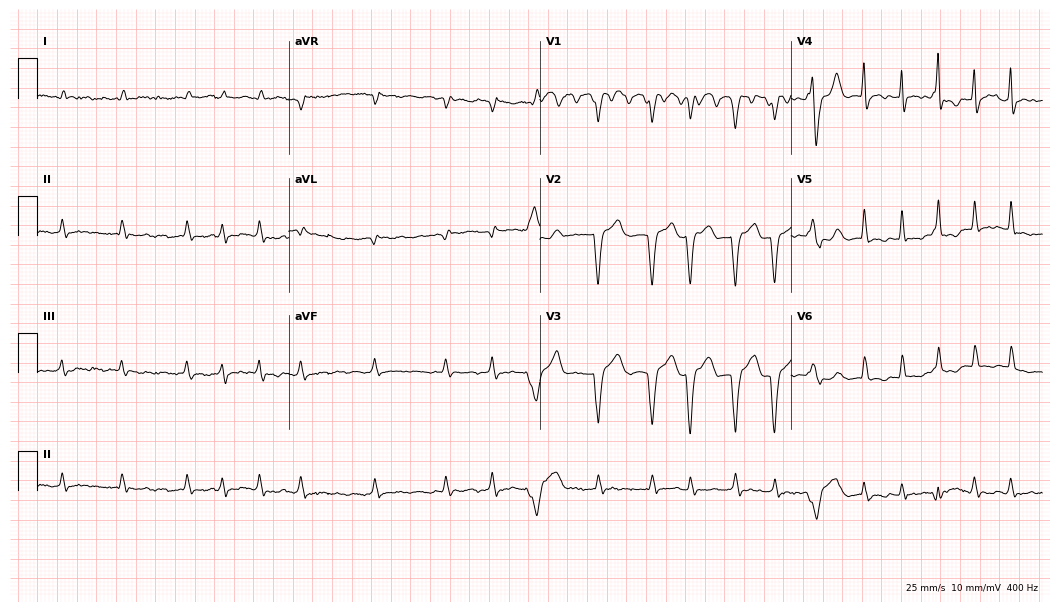
12-lead ECG from an 81-year-old female (10.2-second recording at 400 Hz). No first-degree AV block, right bundle branch block (RBBB), left bundle branch block (LBBB), sinus bradycardia, atrial fibrillation (AF) or sinus tachycardia recorded for this tracing. Findings outside these six are not listed.